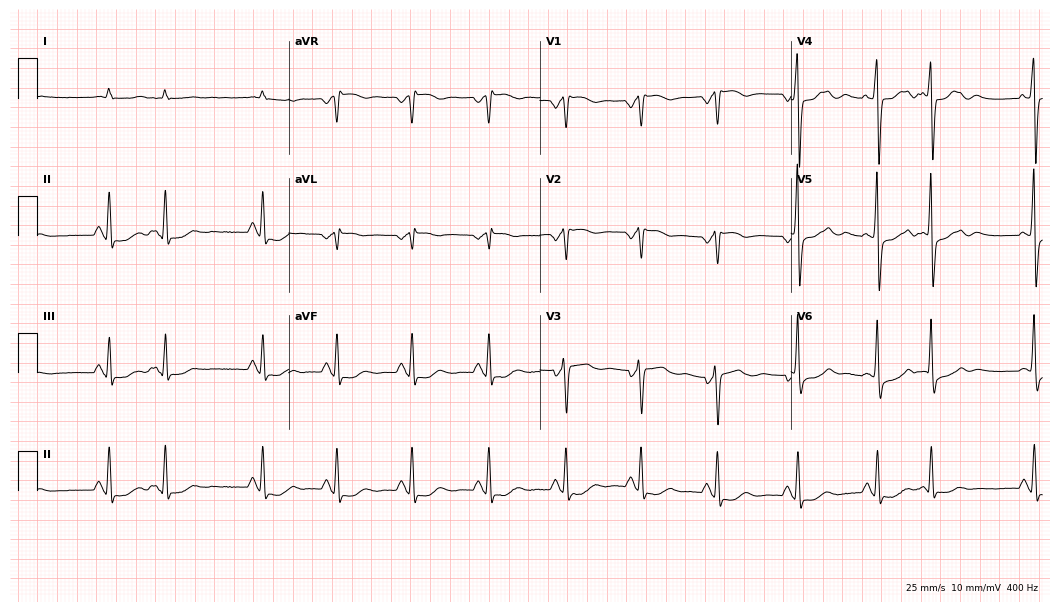
ECG (10.2-second recording at 400 Hz) — a man, 70 years old. Findings include atrial fibrillation (AF).